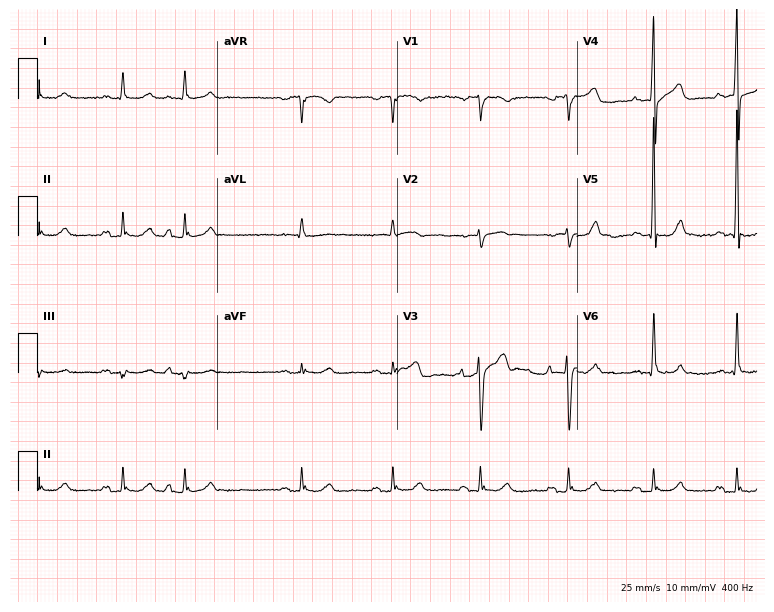
Standard 12-lead ECG recorded from a 61-year-old male (7.3-second recording at 400 Hz). None of these six findings is recorded: first-degree AV block, right bundle branch block, left bundle branch block, sinus bradycardia, atrial fibrillation, sinus tachycardia.